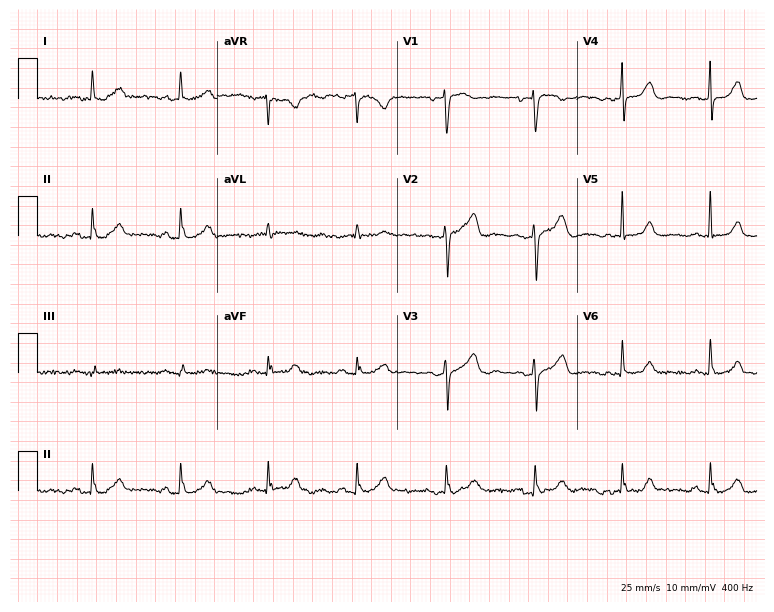
Standard 12-lead ECG recorded from a 74-year-old female (7.3-second recording at 400 Hz). Read as a normal ECG.